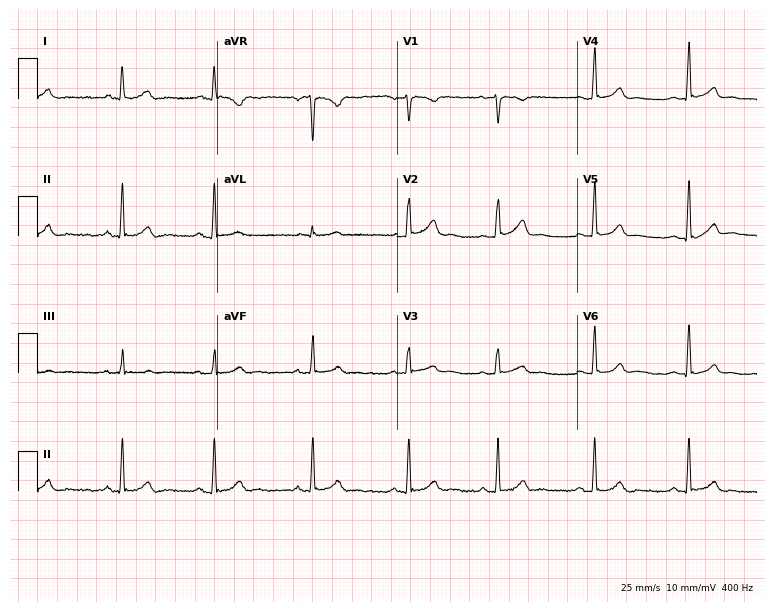
ECG — a female, 22 years old. Labelled as a normal ECG.